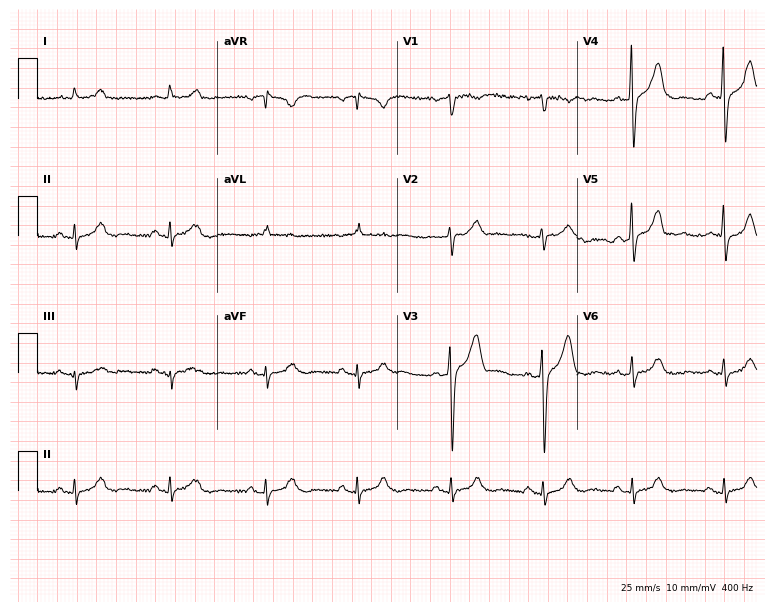
Standard 12-lead ECG recorded from a 58-year-old male. Read as a normal ECG.